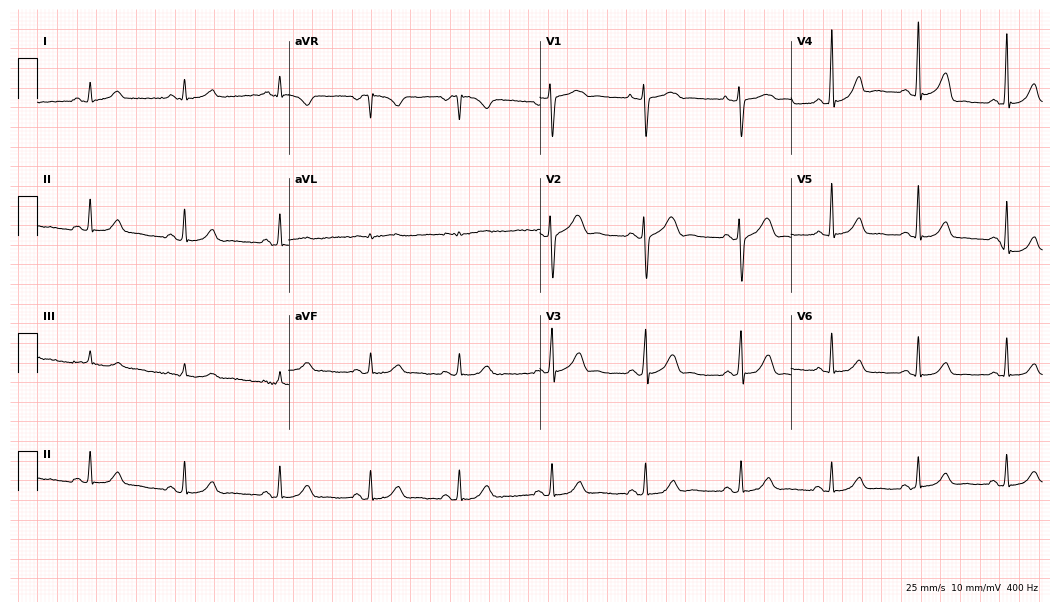
Standard 12-lead ECG recorded from a 33-year-old woman. None of these six findings is recorded: first-degree AV block, right bundle branch block, left bundle branch block, sinus bradycardia, atrial fibrillation, sinus tachycardia. Findings outside these six are not listed.